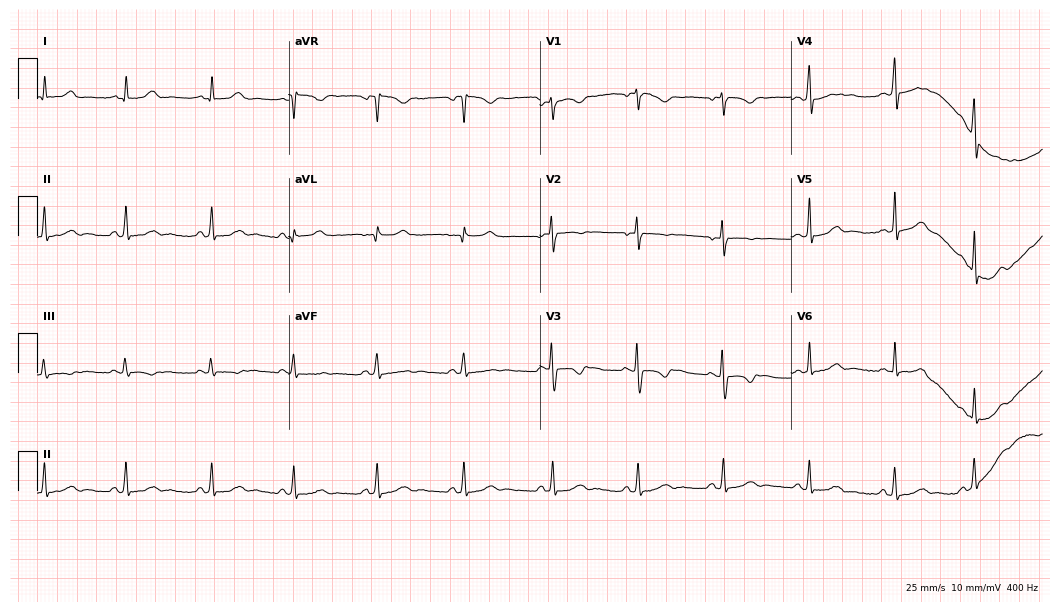
Resting 12-lead electrocardiogram. Patient: a 20-year-old female. Read as a normal ECG.